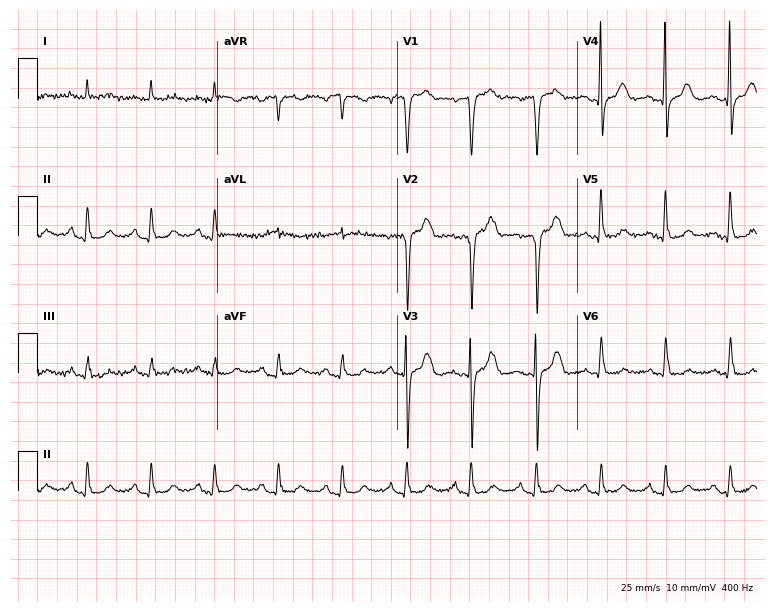
ECG — a 72-year-old man. Labelled as a normal ECG.